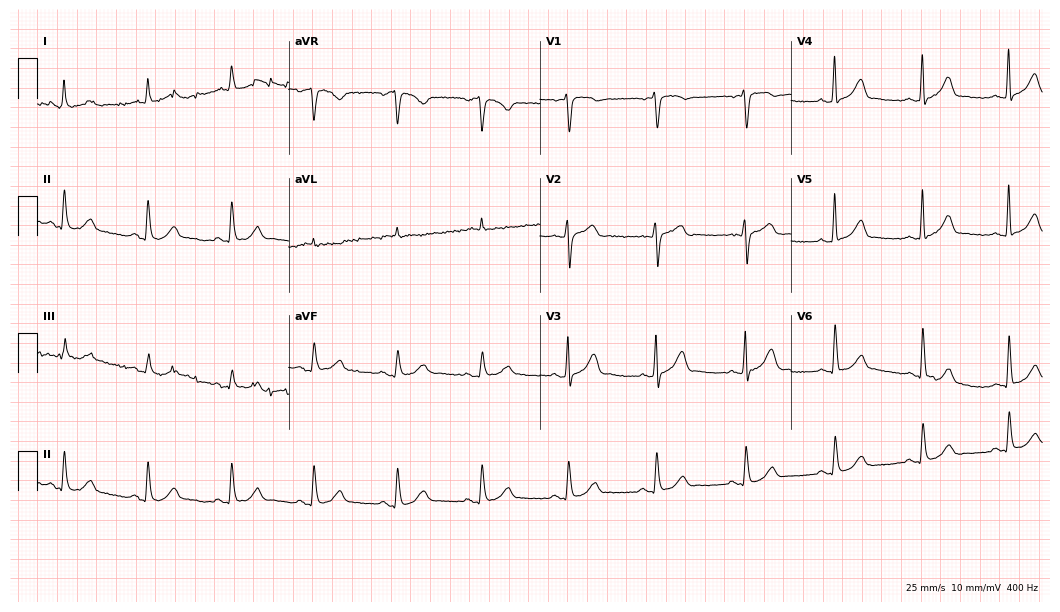
Resting 12-lead electrocardiogram (10.2-second recording at 400 Hz). Patient: a 62-year-old male. Read as a normal ECG.